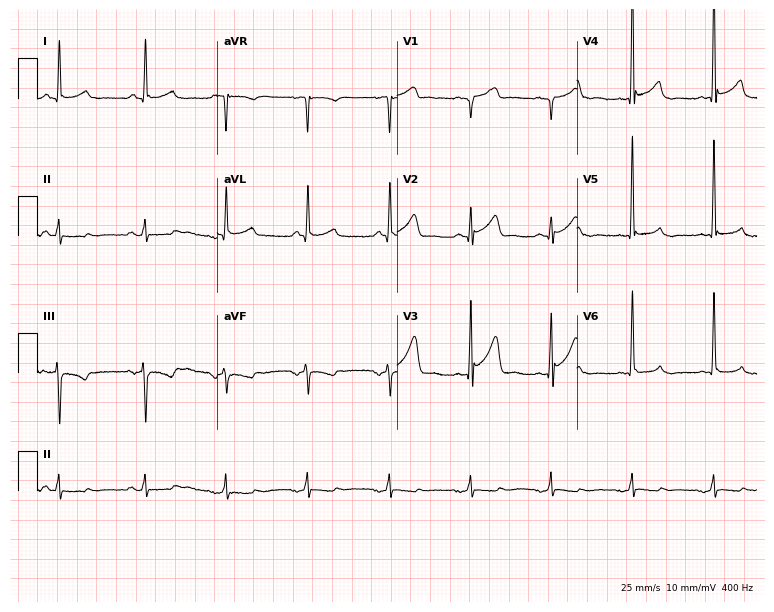
12-lead ECG from a 71-year-old man. Screened for six findings — first-degree AV block, right bundle branch block, left bundle branch block, sinus bradycardia, atrial fibrillation, sinus tachycardia — none is recorded.